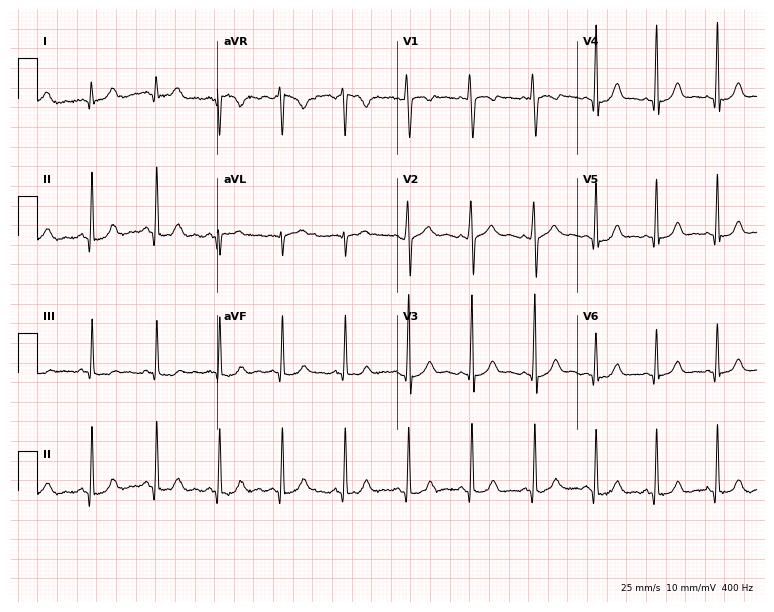
ECG (7.3-second recording at 400 Hz) — a 21-year-old female patient. Labelled as a normal ECG.